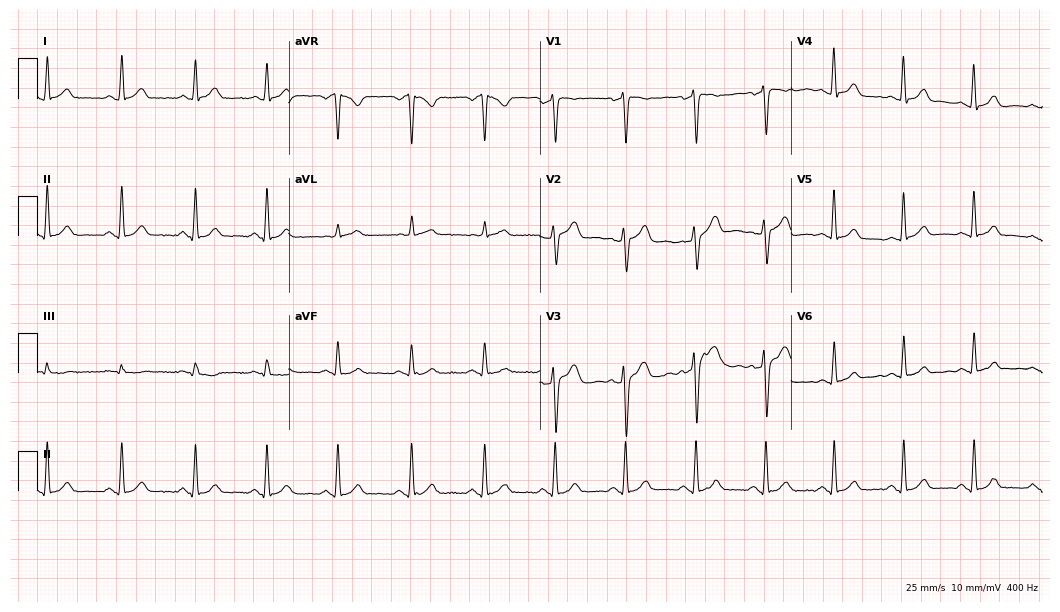
Resting 12-lead electrocardiogram (10.2-second recording at 400 Hz). Patient: a 38-year-old female. Read as a normal ECG.